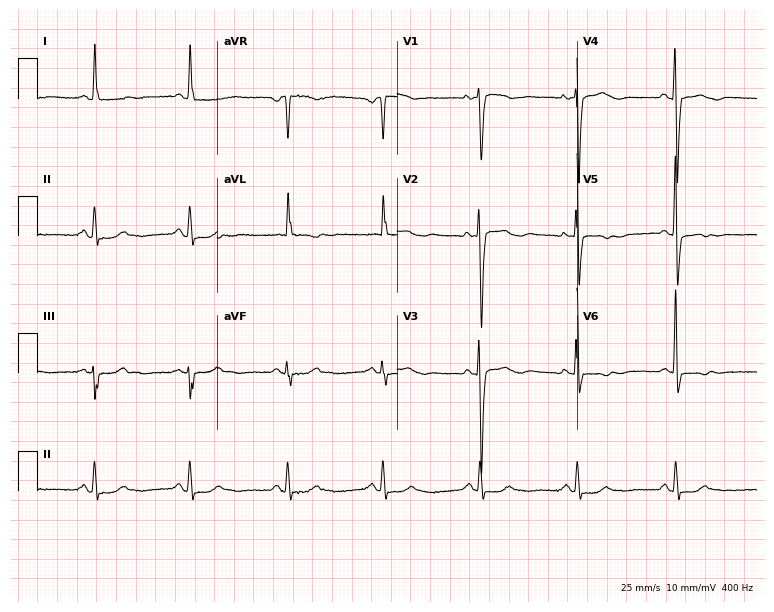
Resting 12-lead electrocardiogram (7.3-second recording at 400 Hz). Patient: a woman, 80 years old. None of these six findings is recorded: first-degree AV block, right bundle branch block, left bundle branch block, sinus bradycardia, atrial fibrillation, sinus tachycardia.